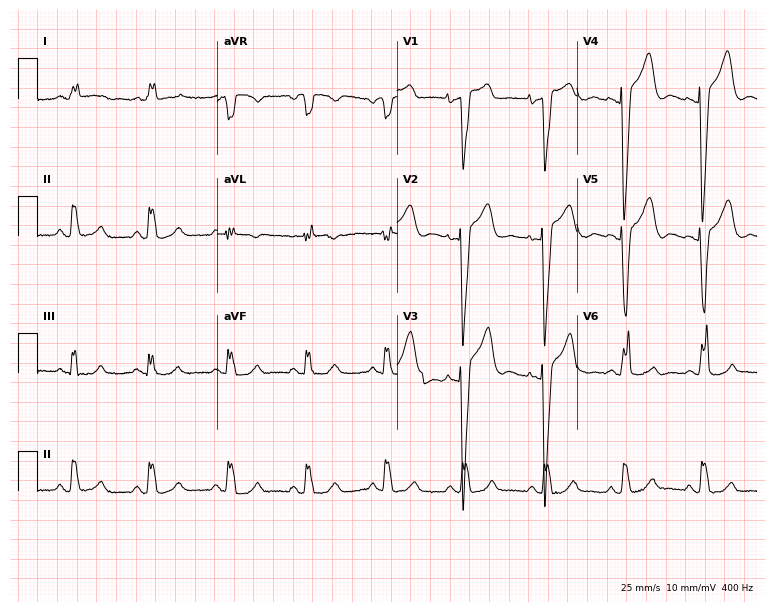
Electrocardiogram (7.3-second recording at 400 Hz), a 71-year-old female. Interpretation includes left bundle branch block (LBBB).